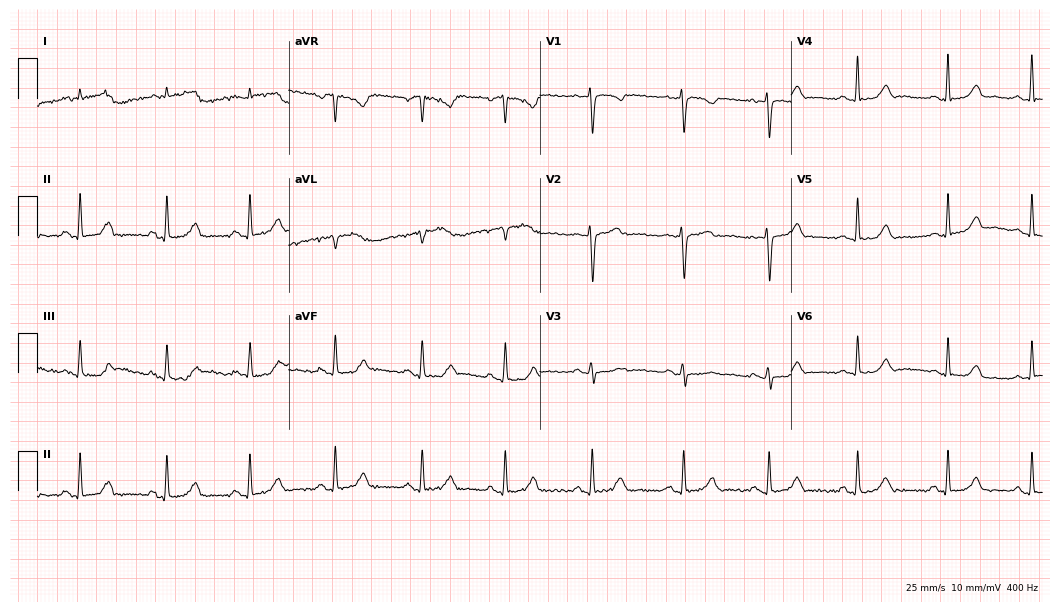
ECG — a 51-year-old female patient. Labelled as a normal ECG.